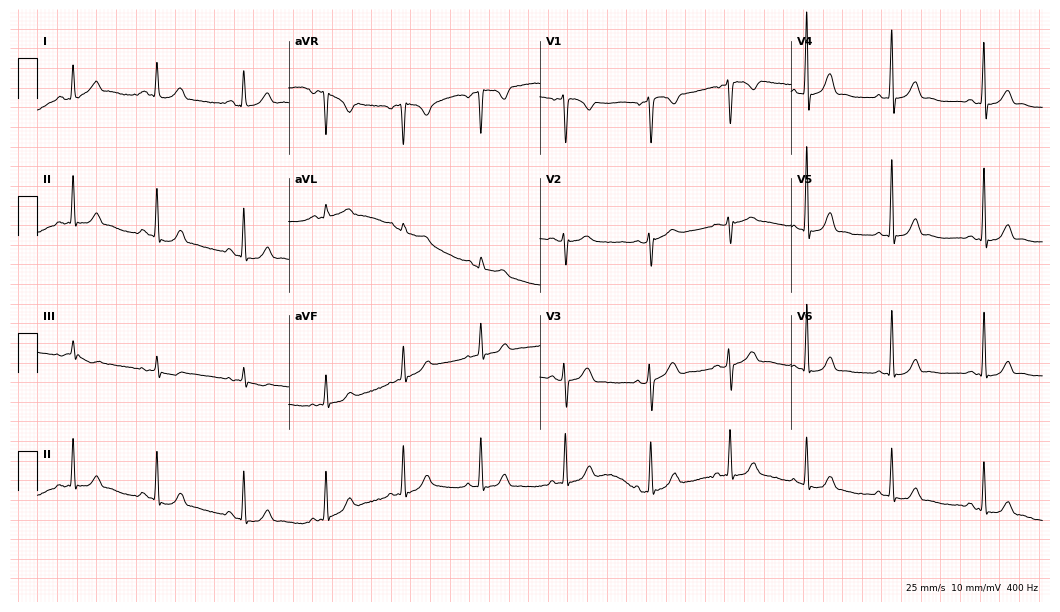
Resting 12-lead electrocardiogram. Patient: a 27-year-old man. None of these six findings is recorded: first-degree AV block, right bundle branch block, left bundle branch block, sinus bradycardia, atrial fibrillation, sinus tachycardia. Only these six findings were labelled.